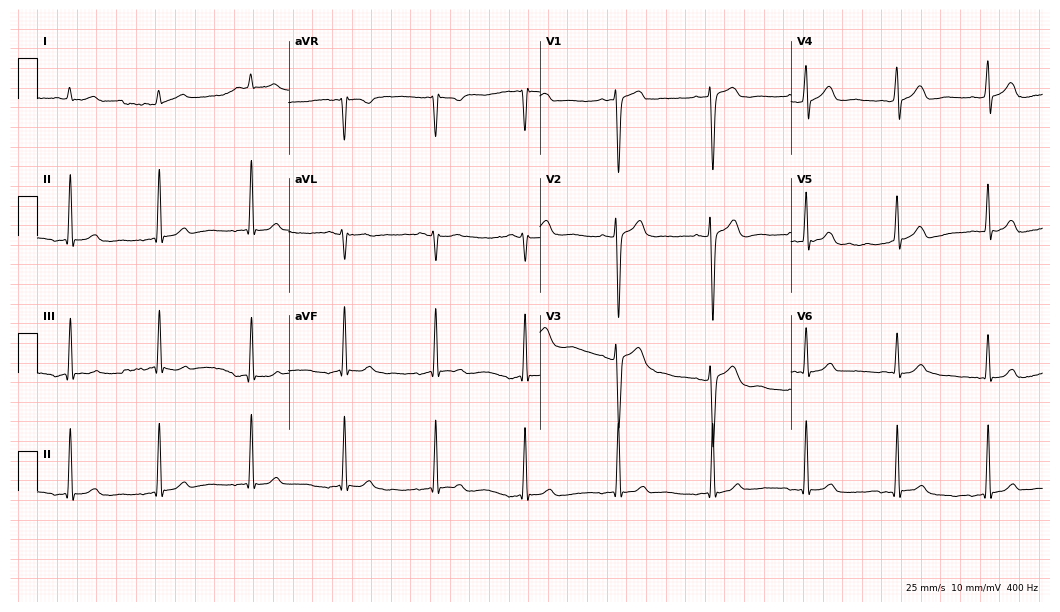
ECG (10.2-second recording at 400 Hz) — a male patient, 36 years old. Labelled as a normal ECG.